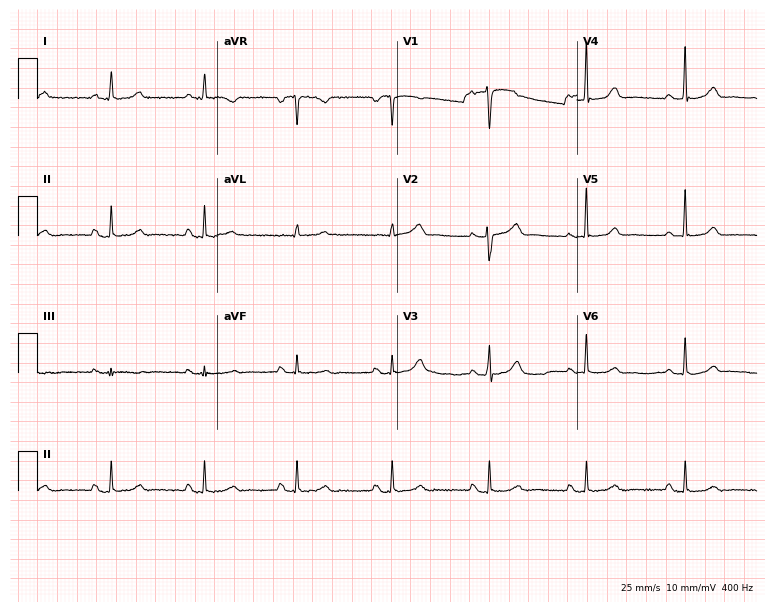
Electrocardiogram, a 51-year-old female patient. Overall reading on record: normal ECG.